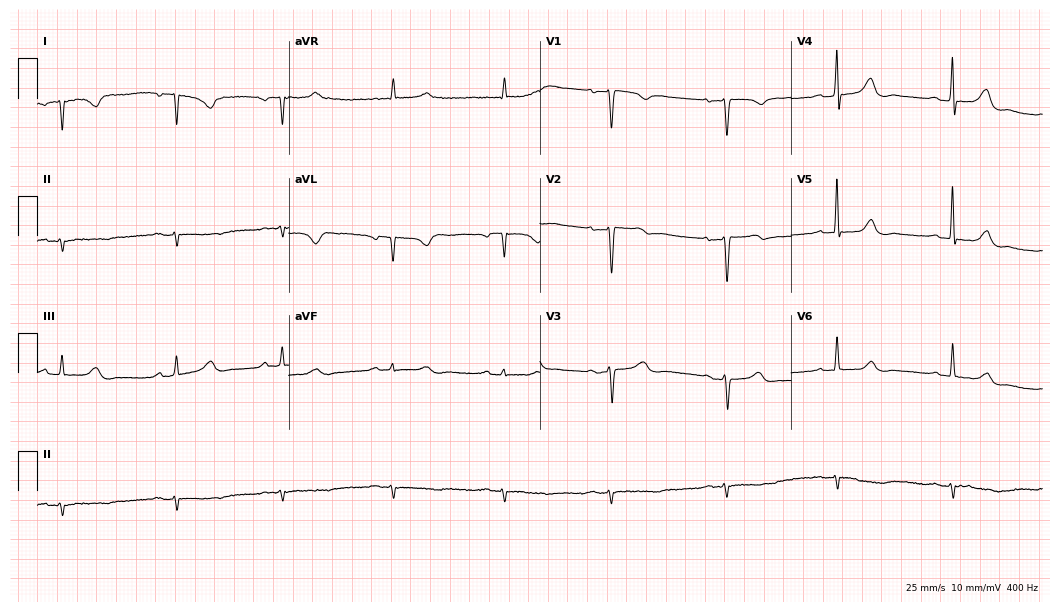
12-lead ECG from a female, 77 years old. Screened for six findings — first-degree AV block, right bundle branch block (RBBB), left bundle branch block (LBBB), sinus bradycardia, atrial fibrillation (AF), sinus tachycardia — none is recorded.